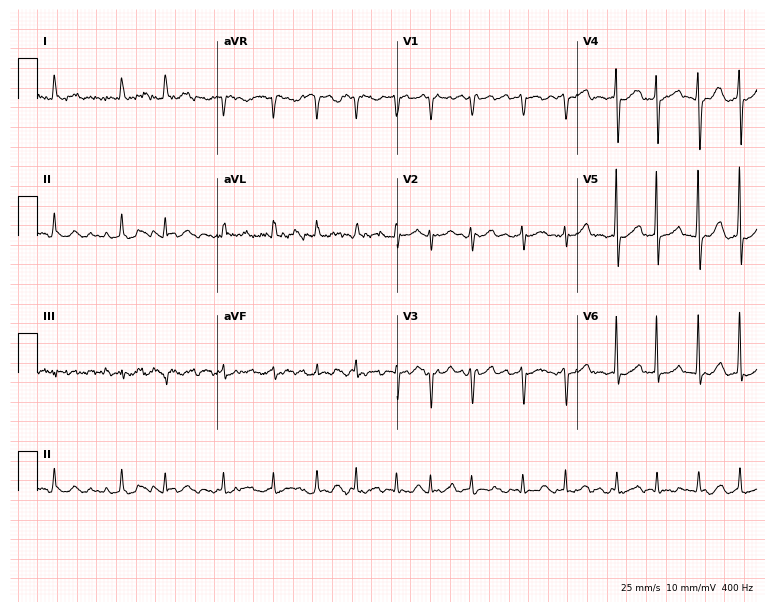
12-lead ECG from a female, 65 years old. Findings include atrial fibrillation.